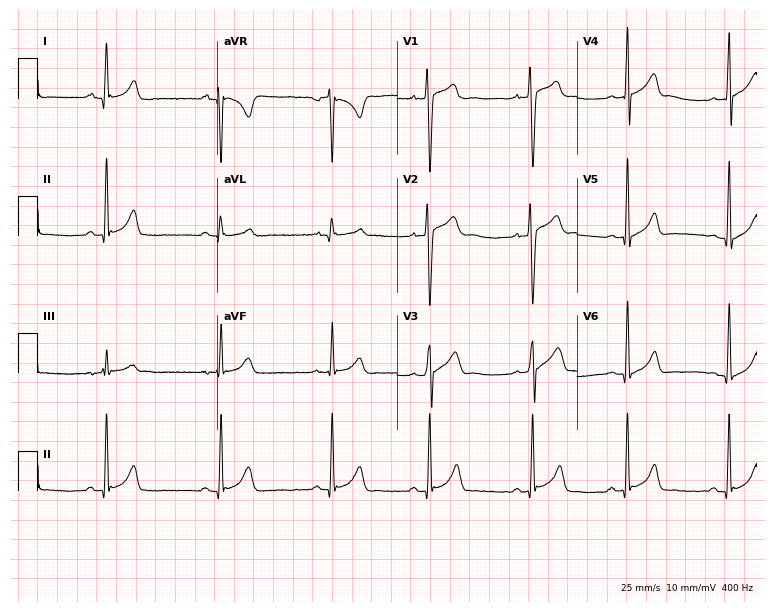
ECG (7.3-second recording at 400 Hz) — a 20-year-old male patient. Labelled as a normal ECG.